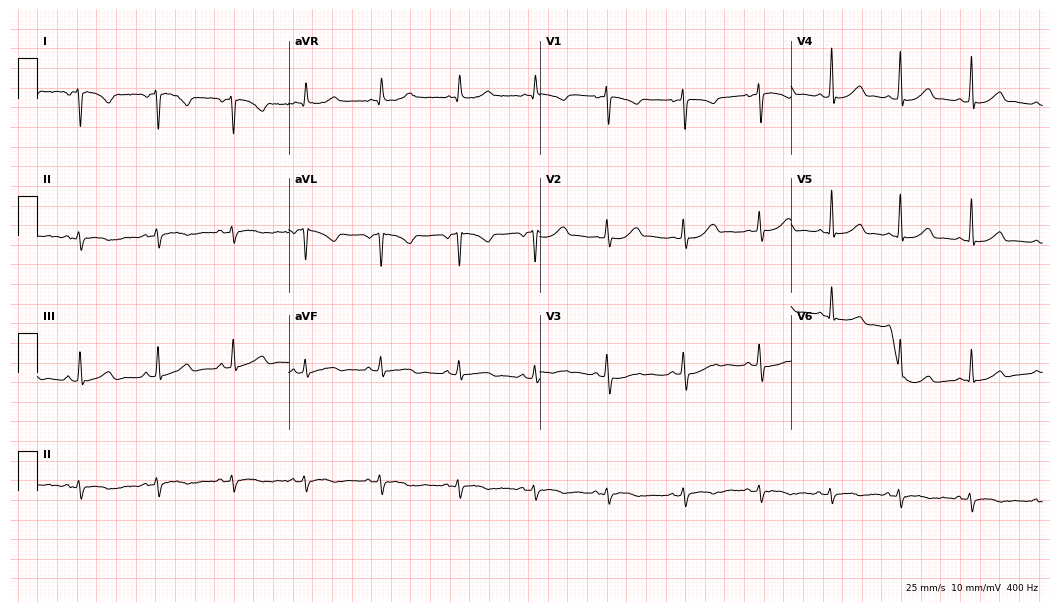
Resting 12-lead electrocardiogram. Patient: a female, 27 years old. None of these six findings is recorded: first-degree AV block, right bundle branch block, left bundle branch block, sinus bradycardia, atrial fibrillation, sinus tachycardia. Findings outside these six are not listed.